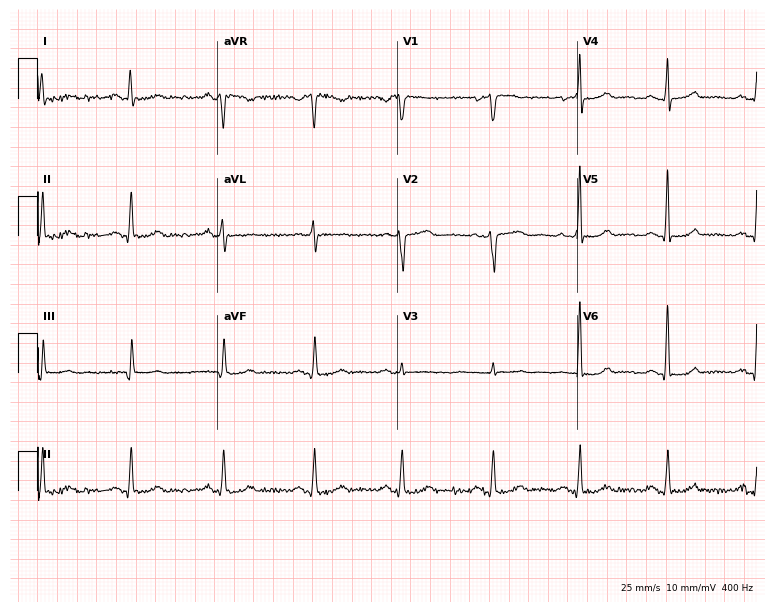
Resting 12-lead electrocardiogram (7.3-second recording at 400 Hz). Patient: a female, 52 years old. Read as a normal ECG.